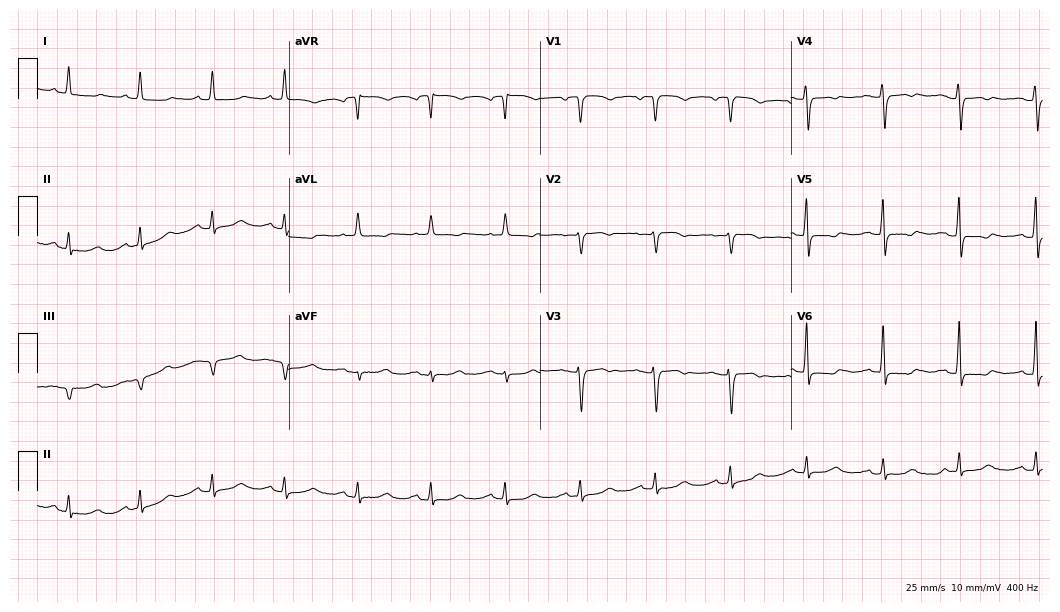
Standard 12-lead ECG recorded from a 78-year-old female patient (10.2-second recording at 400 Hz). None of these six findings is recorded: first-degree AV block, right bundle branch block, left bundle branch block, sinus bradycardia, atrial fibrillation, sinus tachycardia.